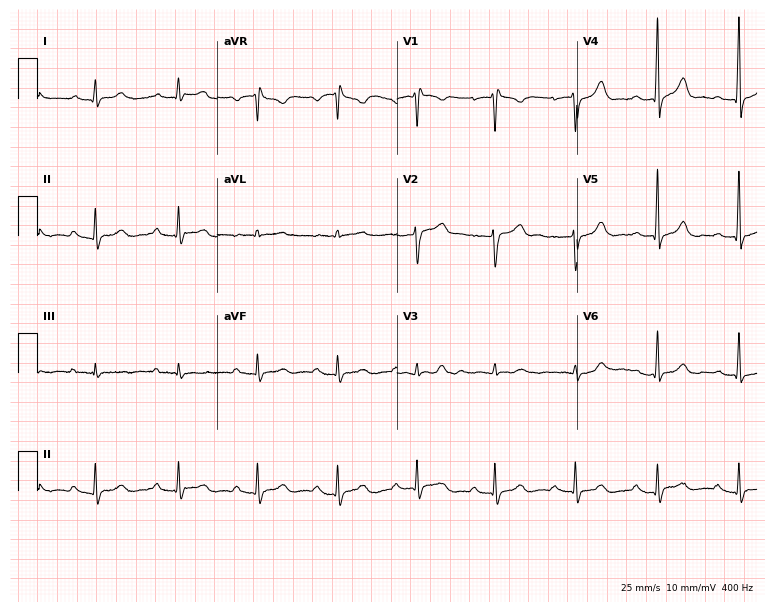
ECG — a male patient, 33 years old. Findings include first-degree AV block.